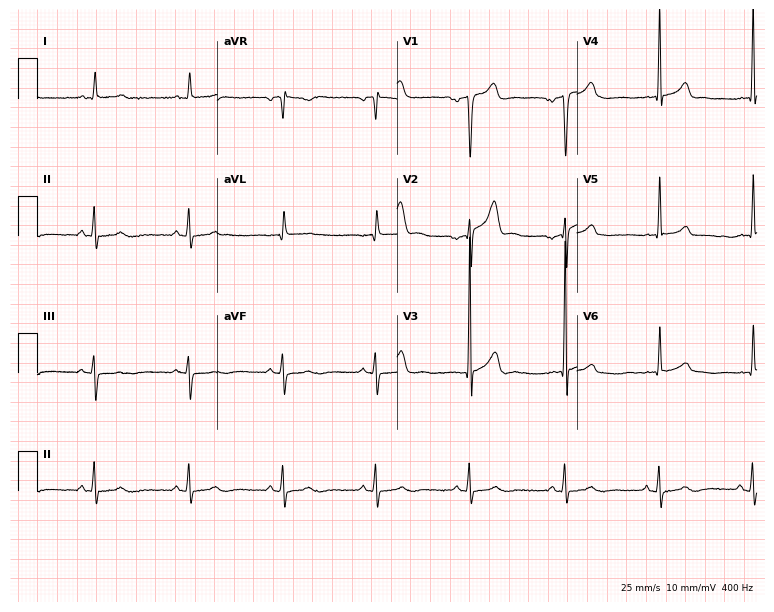
ECG (7.3-second recording at 400 Hz) — a 57-year-old male patient. Screened for six findings — first-degree AV block, right bundle branch block, left bundle branch block, sinus bradycardia, atrial fibrillation, sinus tachycardia — none is recorded.